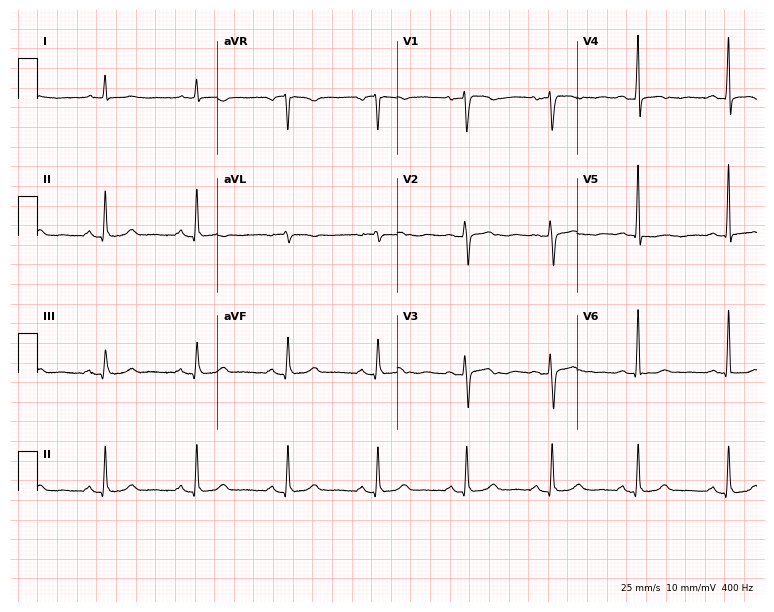
Resting 12-lead electrocardiogram (7.3-second recording at 400 Hz). Patient: a woman, 62 years old. None of these six findings is recorded: first-degree AV block, right bundle branch block (RBBB), left bundle branch block (LBBB), sinus bradycardia, atrial fibrillation (AF), sinus tachycardia.